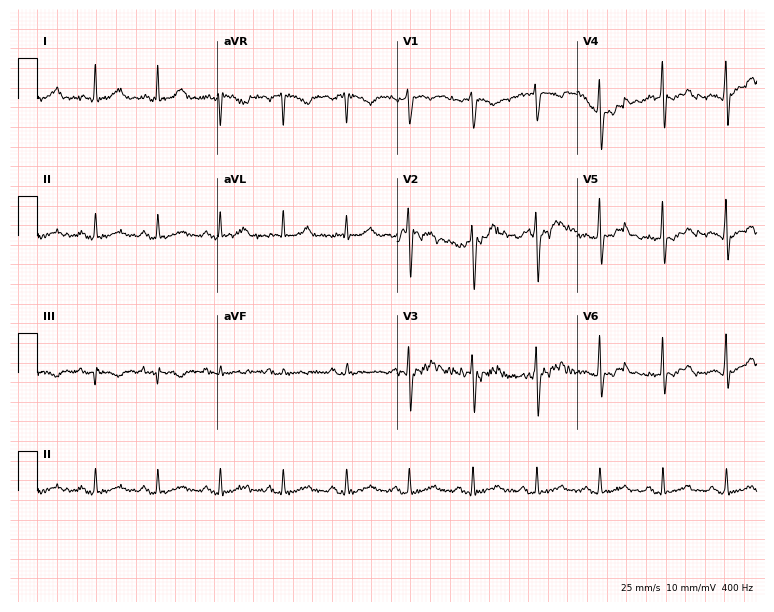
Electrocardiogram (7.3-second recording at 400 Hz), a male, 43 years old. Of the six screened findings (first-degree AV block, right bundle branch block (RBBB), left bundle branch block (LBBB), sinus bradycardia, atrial fibrillation (AF), sinus tachycardia), none is recorded. Other findings, if any, are not listed.